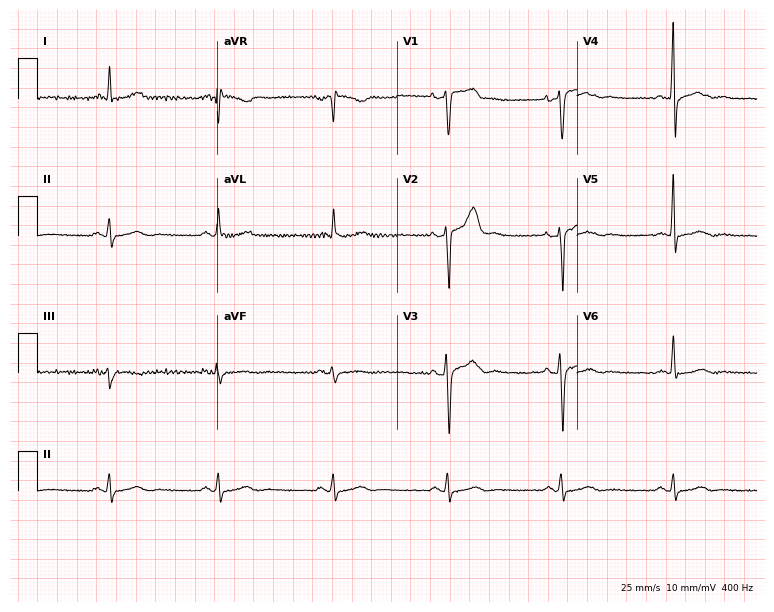
Standard 12-lead ECG recorded from a man, 58 years old (7.3-second recording at 400 Hz). Read as a normal ECG.